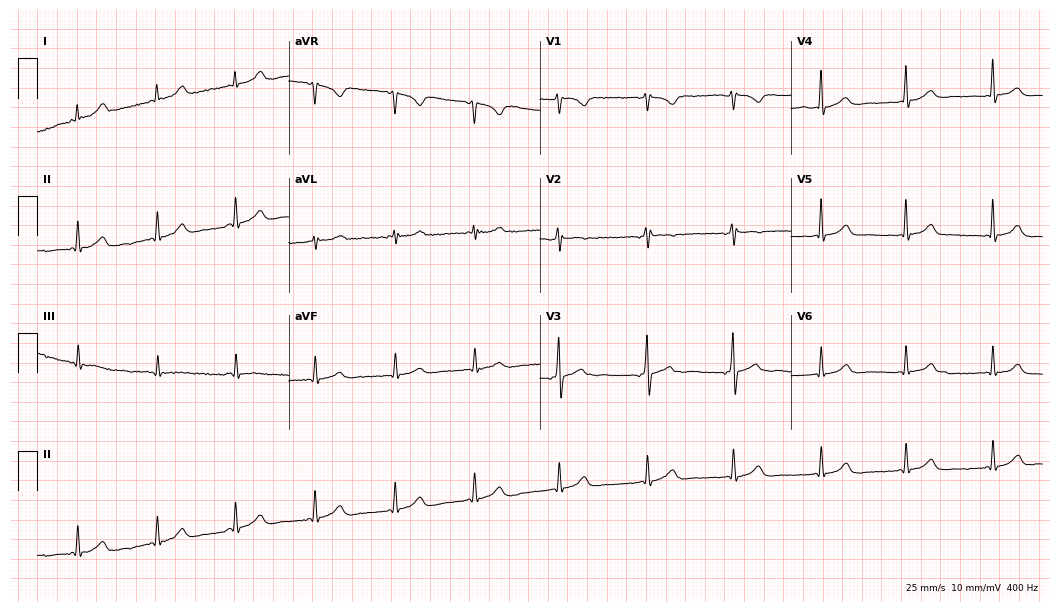
12-lead ECG from a 22-year-old female patient (10.2-second recording at 400 Hz). No first-degree AV block, right bundle branch block, left bundle branch block, sinus bradycardia, atrial fibrillation or sinus tachycardia recorded for this tracing.